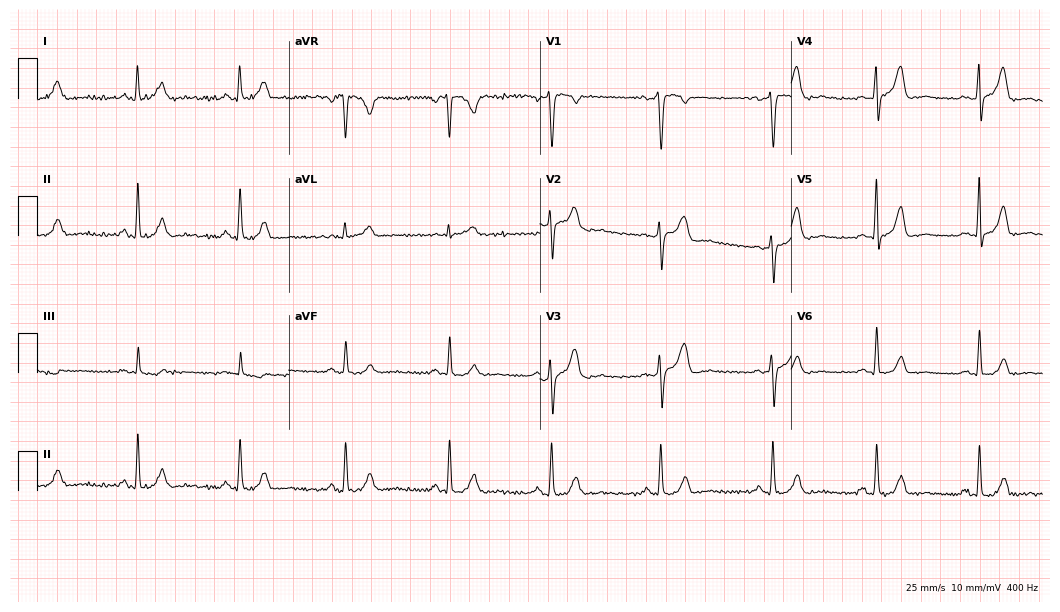
12-lead ECG from a 45-year-old female patient. Labelled as a normal ECG.